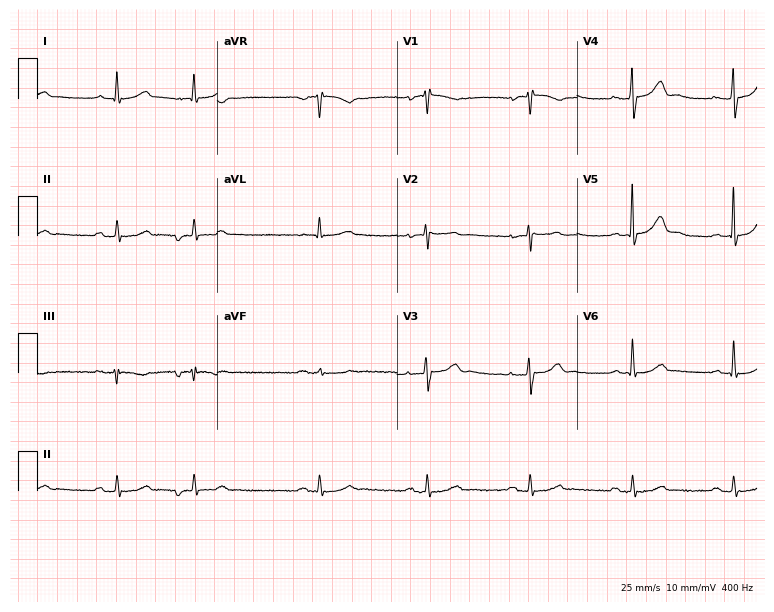
ECG (7.3-second recording at 400 Hz) — a male patient, 67 years old. Screened for six findings — first-degree AV block, right bundle branch block, left bundle branch block, sinus bradycardia, atrial fibrillation, sinus tachycardia — none is recorded. Other findings, if any, are not listed.